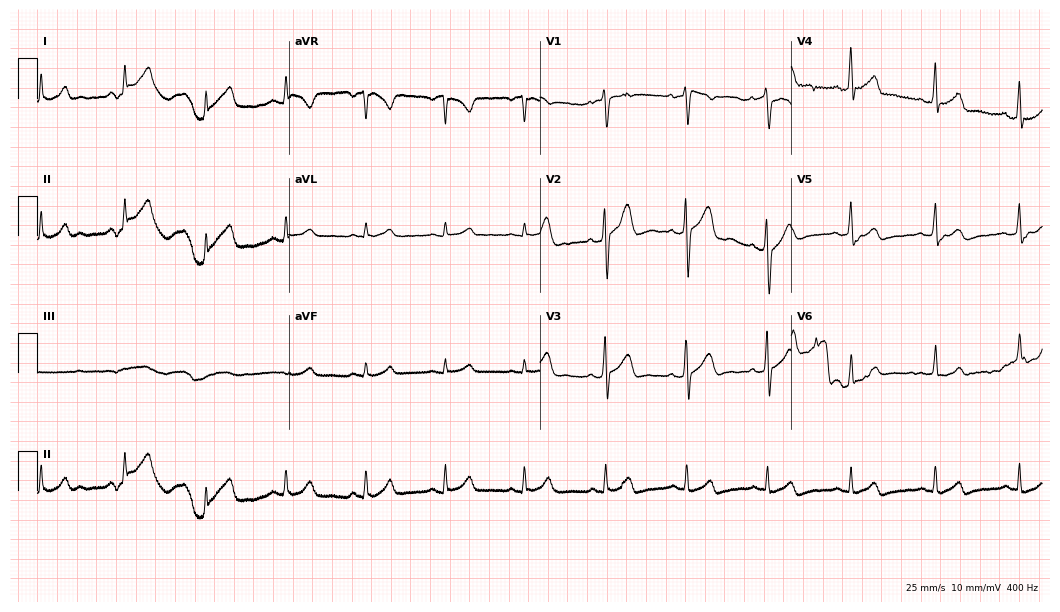
Electrocardiogram, a man, 44 years old. Of the six screened findings (first-degree AV block, right bundle branch block, left bundle branch block, sinus bradycardia, atrial fibrillation, sinus tachycardia), none is recorded. Findings outside these six are not listed.